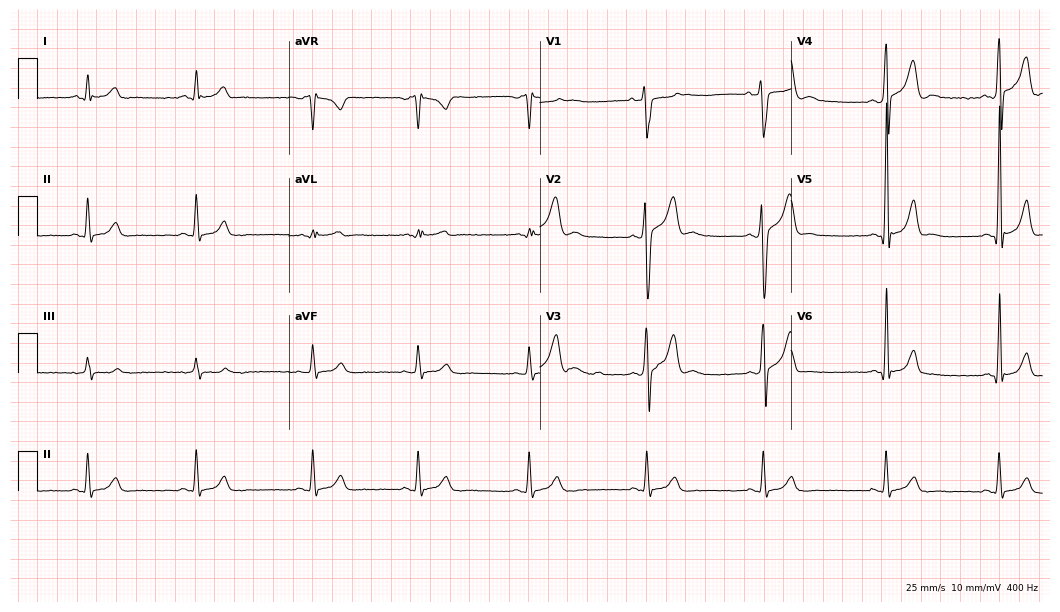
Resting 12-lead electrocardiogram. Patient: a 23-year-old man. None of these six findings is recorded: first-degree AV block, right bundle branch block, left bundle branch block, sinus bradycardia, atrial fibrillation, sinus tachycardia. Findings outside these six are not listed.